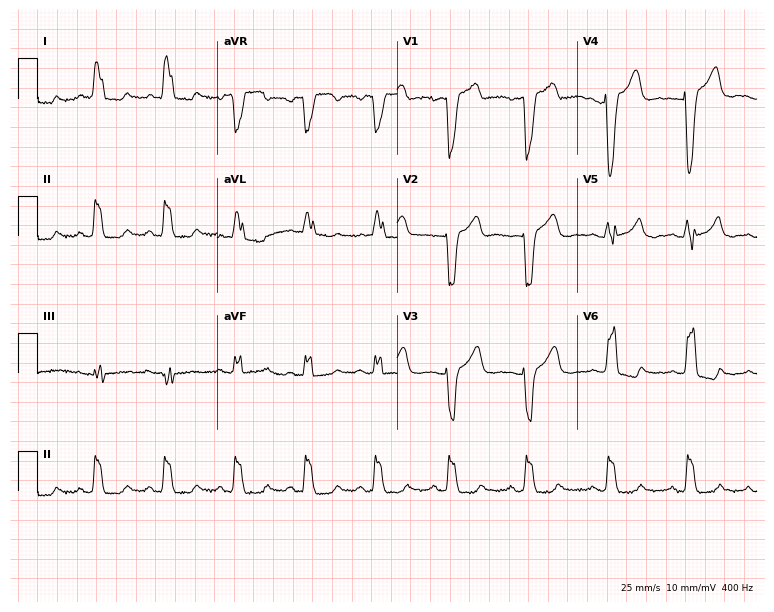
Electrocardiogram (7.3-second recording at 400 Hz), a female patient, 65 years old. Interpretation includes left bundle branch block (LBBB).